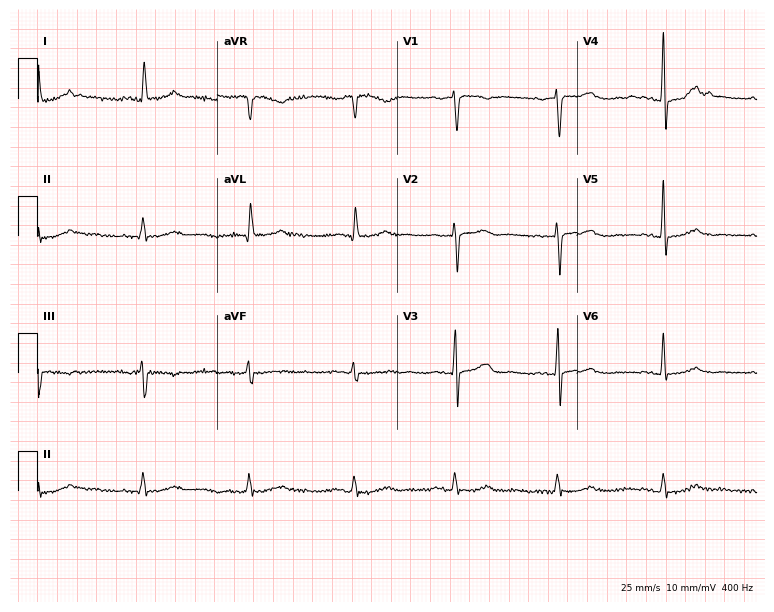
Standard 12-lead ECG recorded from a 74-year-old female patient. None of these six findings is recorded: first-degree AV block, right bundle branch block (RBBB), left bundle branch block (LBBB), sinus bradycardia, atrial fibrillation (AF), sinus tachycardia.